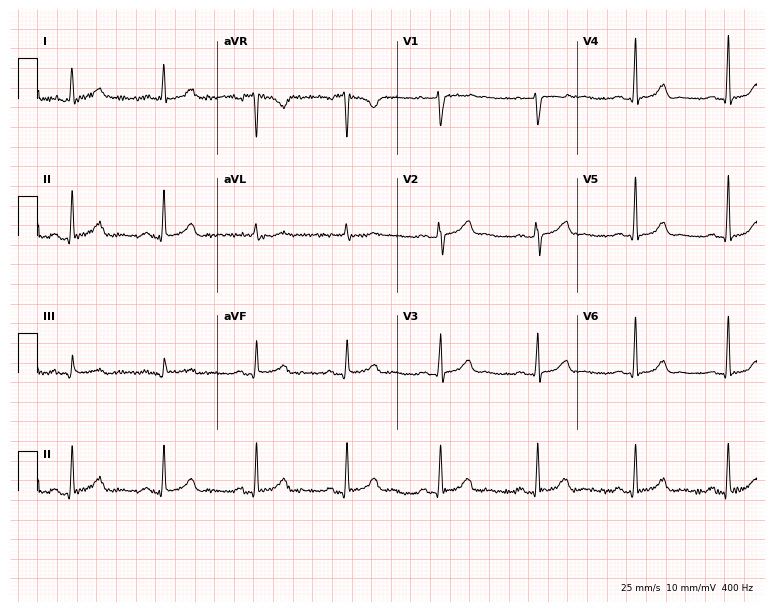
ECG — a woman, 42 years old. Labelled as a normal ECG.